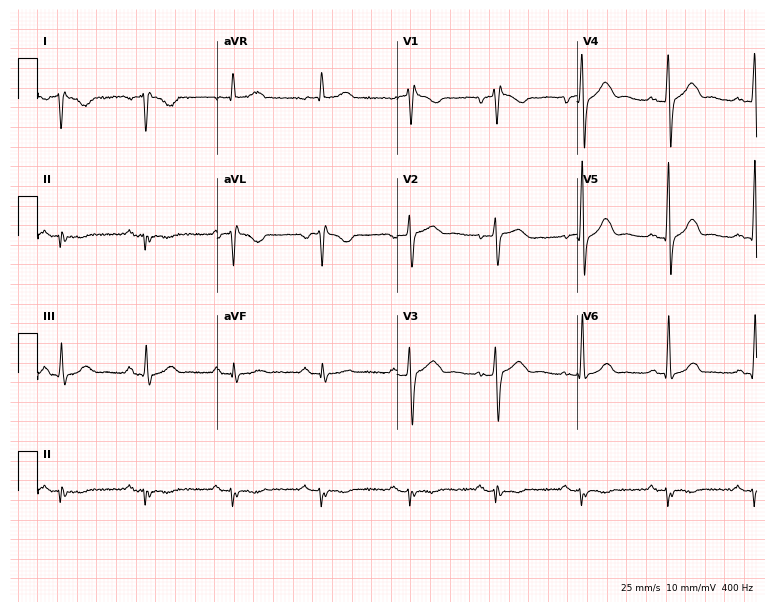
ECG — a male patient, 65 years old. Screened for six findings — first-degree AV block, right bundle branch block, left bundle branch block, sinus bradycardia, atrial fibrillation, sinus tachycardia — none is recorded. Only these six findings were labelled.